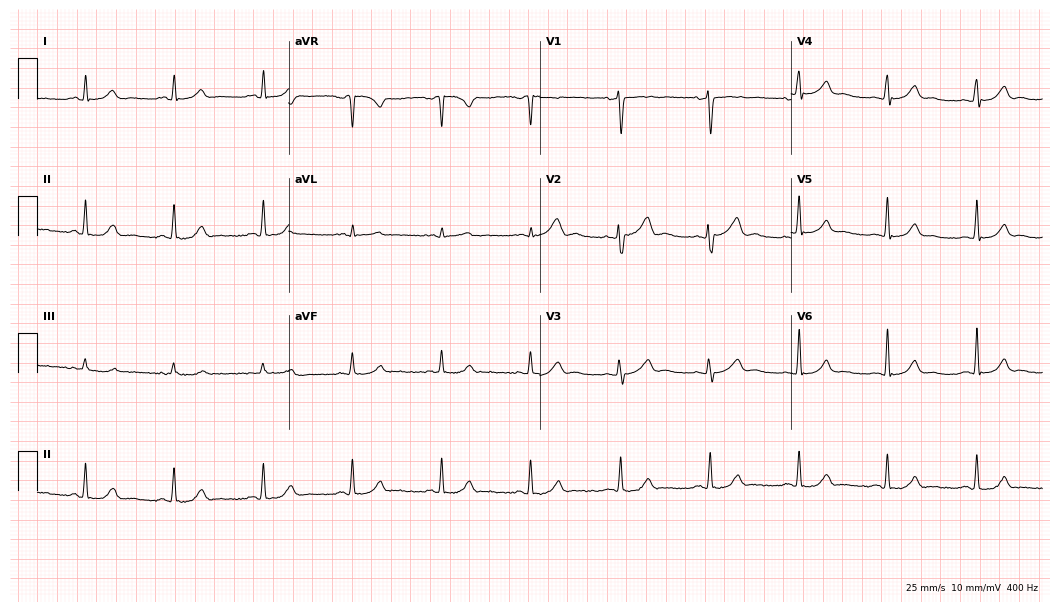
12-lead ECG (10.2-second recording at 400 Hz) from a woman, 40 years old. Labelled as a normal ECG.